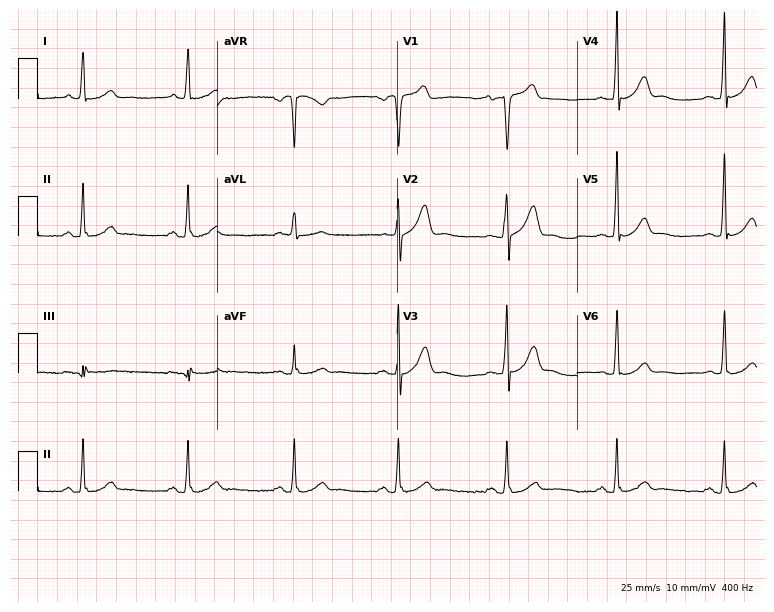
Resting 12-lead electrocardiogram. Patient: a 44-year-old male. Read as a normal ECG.